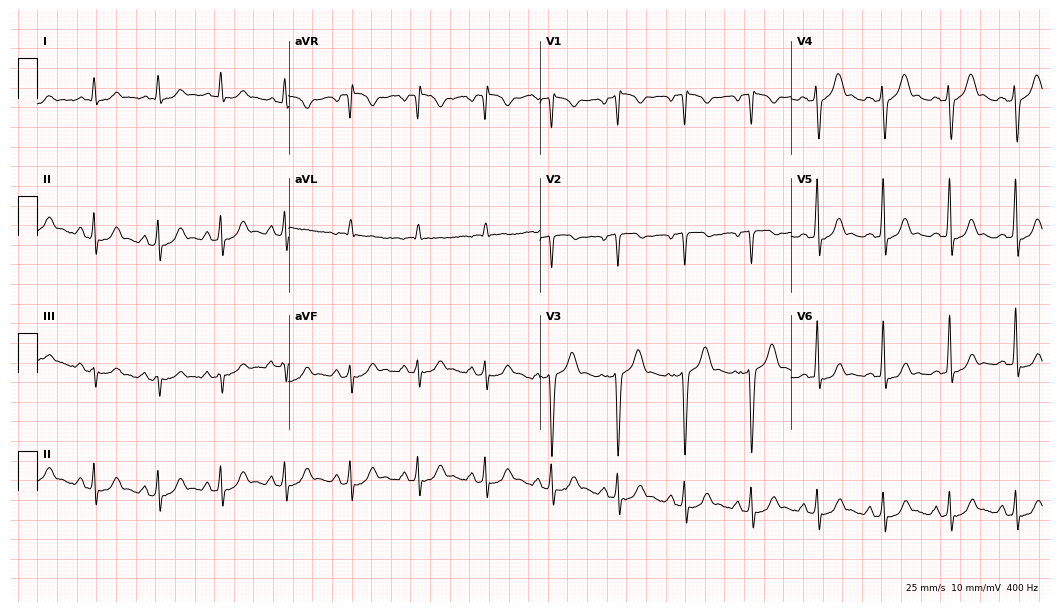
Standard 12-lead ECG recorded from a 56-year-old man (10.2-second recording at 400 Hz). None of these six findings is recorded: first-degree AV block, right bundle branch block, left bundle branch block, sinus bradycardia, atrial fibrillation, sinus tachycardia.